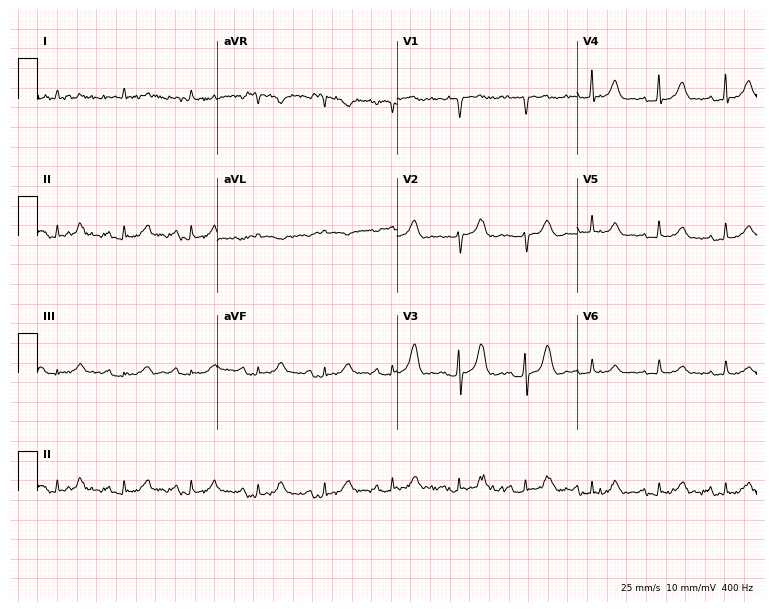
Resting 12-lead electrocardiogram. Patient: a female, 79 years old. None of these six findings is recorded: first-degree AV block, right bundle branch block, left bundle branch block, sinus bradycardia, atrial fibrillation, sinus tachycardia. Only these six findings were labelled.